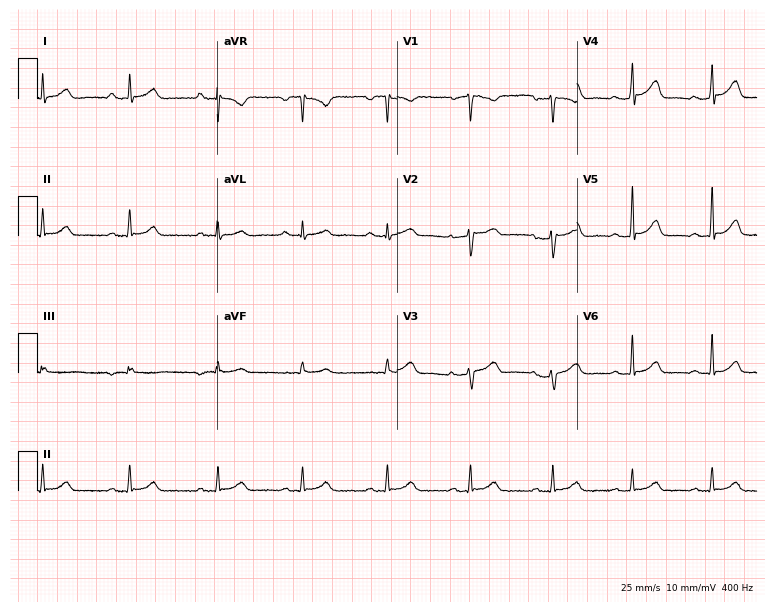
12-lead ECG from a 47-year-old female. Labelled as a normal ECG.